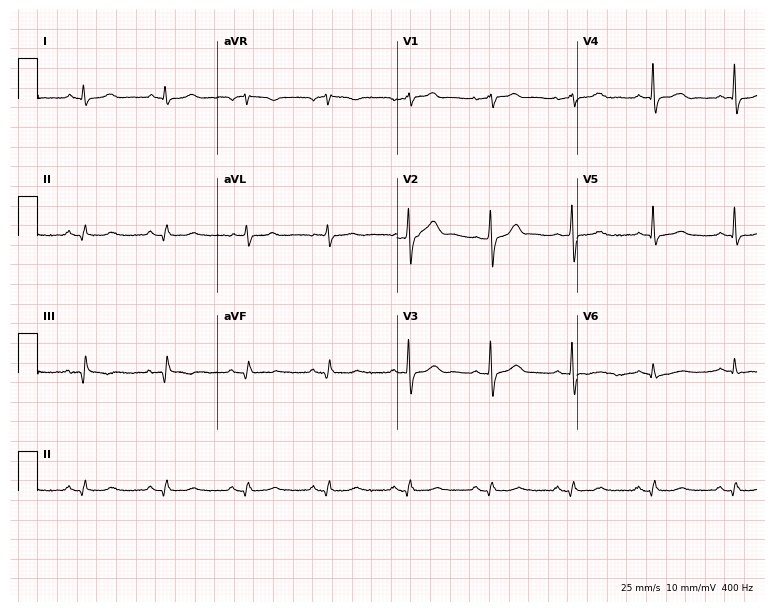
Electrocardiogram (7.3-second recording at 400 Hz), a 70-year-old male. Of the six screened findings (first-degree AV block, right bundle branch block, left bundle branch block, sinus bradycardia, atrial fibrillation, sinus tachycardia), none is recorded. Findings outside these six are not listed.